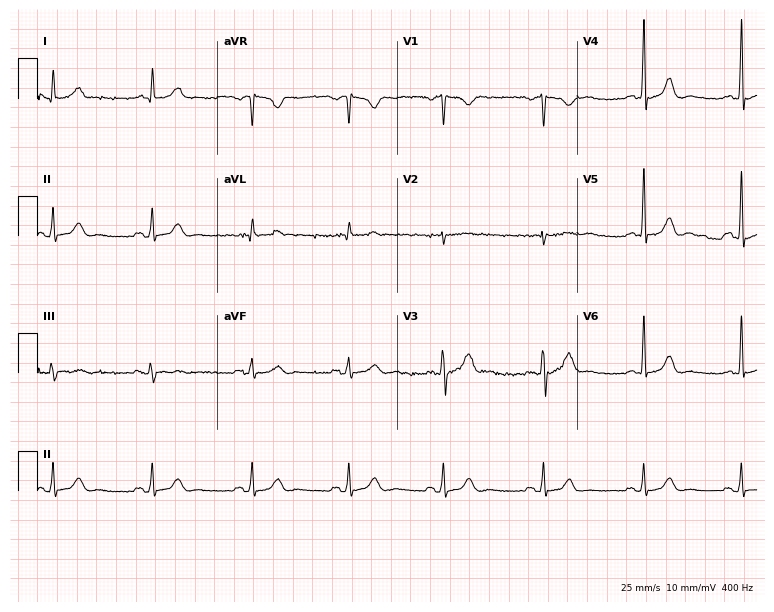
ECG — a man, 50 years old. Screened for six findings — first-degree AV block, right bundle branch block, left bundle branch block, sinus bradycardia, atrial fibrillation, sinus tachycardia — none is recorded.